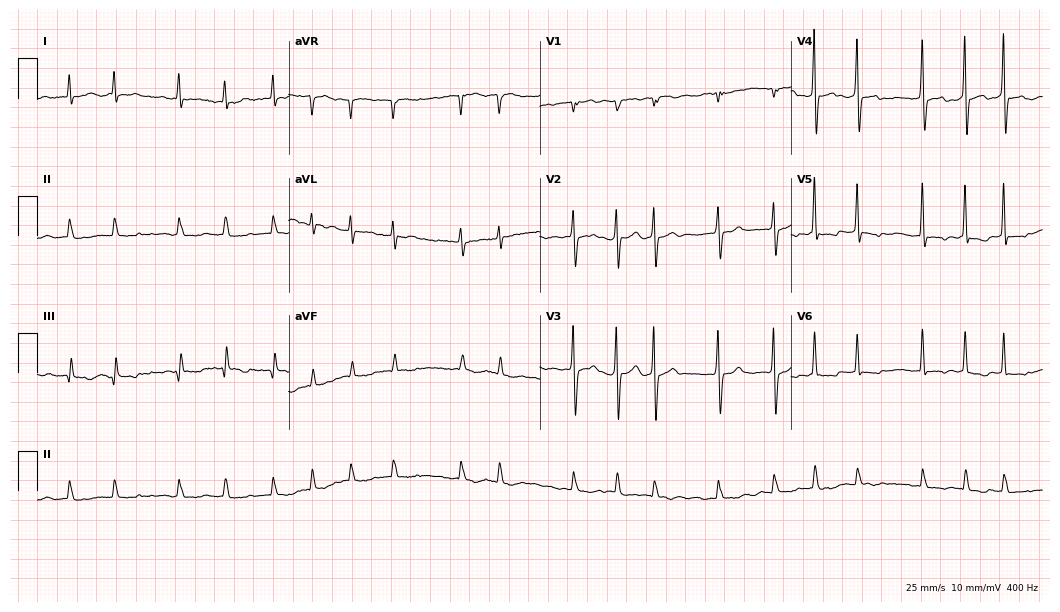
Resting 12-lead electrocardiogram (10.2-second recording at 400 Hz). Patient: a female, 83 years old. The tracing shows atrial fibrillation (AF).